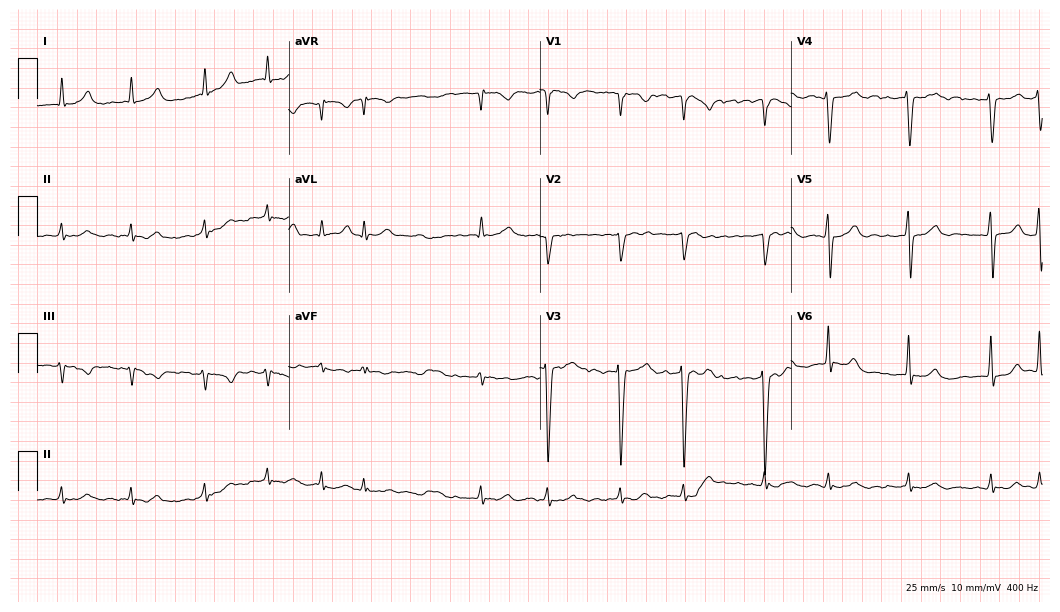
ECG — a 61-year-old man. Findings include atrial fibrillation (AF).